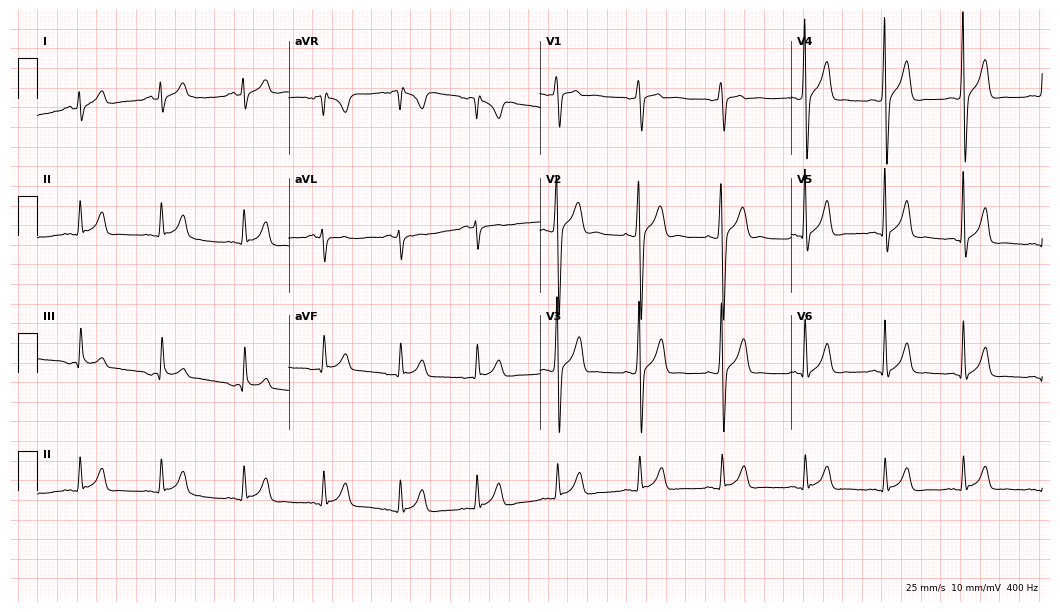
Resting 12-lead electrocardiogram (10.2-second recording at 400 Hz). Patient: a man, 25 years old. Read as a normal ECG.